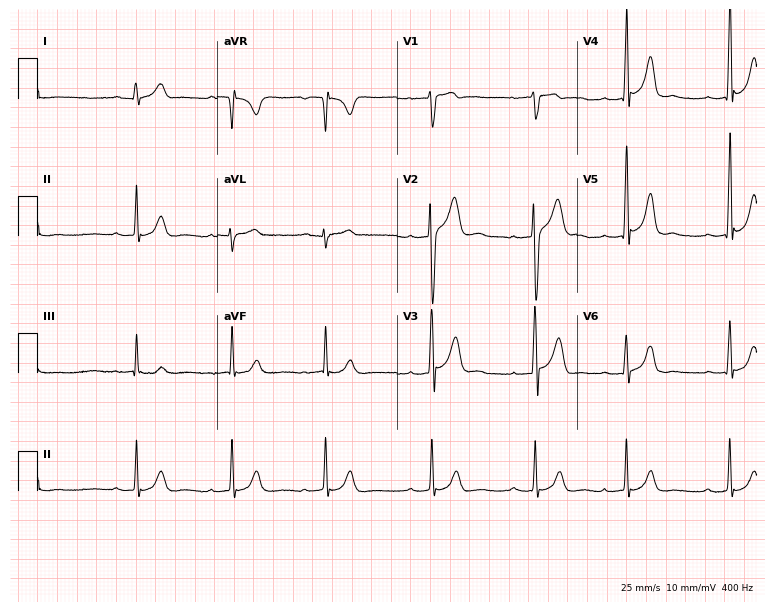
Standard 12-lead ECG recorded from a 20-year-old male patient. None of these six findings is recorded: first-degree AV block, right bundle branch block, left bundle branch block, sinus bradycardia, atrial fibrillation, sinus tachycardia.